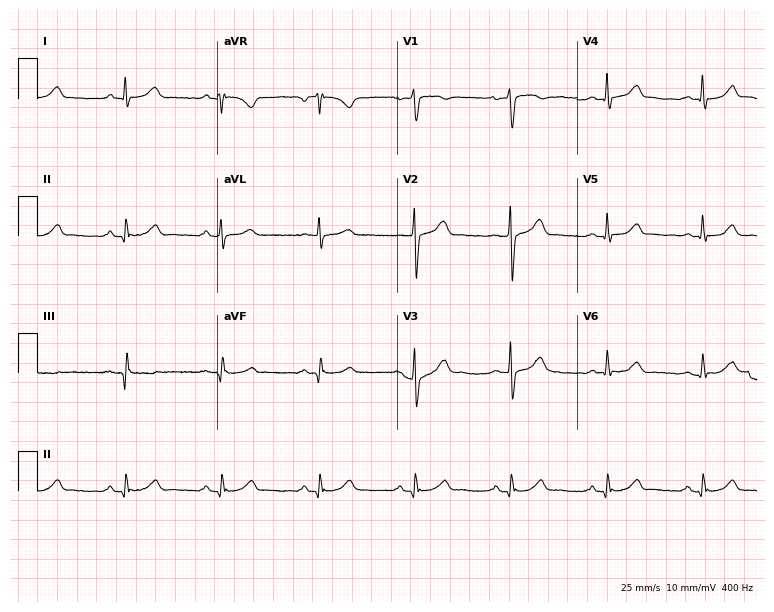
Resting 12-lead electrocardiogram. Patient: a 49-year-old male. Read as a normal ECG.